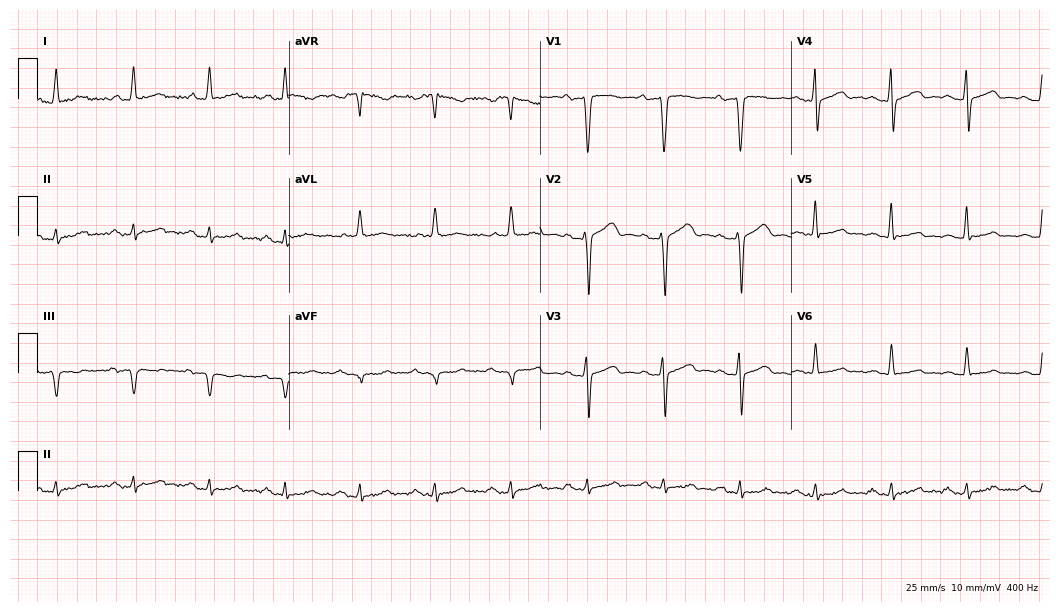
12-lead ECG from a 67-year-old male patient (10.2-second recording at 400 Hz). No first-degree AV block, right bundle branch block, left bundle branch block, sinus bradycardia, atrial fibrillation or sinus tachycardia recorded for this tracing.